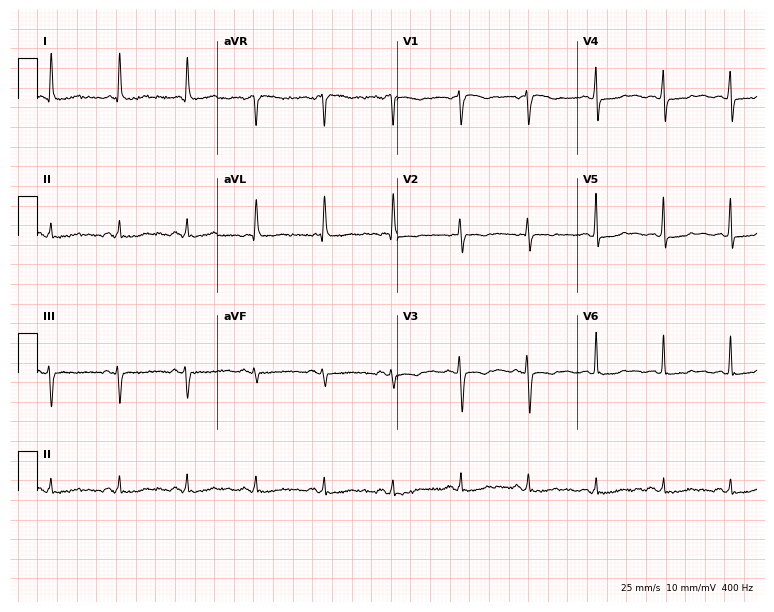
12-lead ECG from a woman, 78 years old (7.3-second recording at 400 Hz). No first-degree AV block, right bundle branch block, left bundle branch block, sinus bradycardia, atrial fibrillation or sinus tachycardia recorded for this tracing.